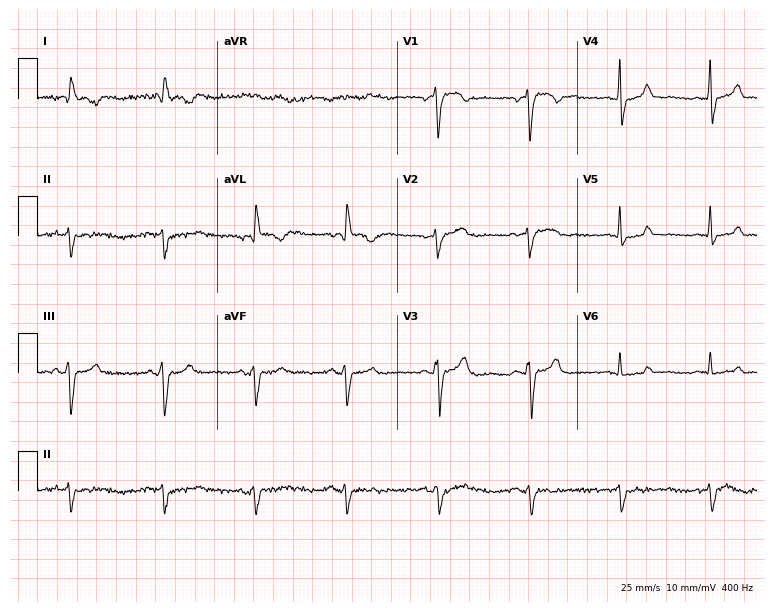
12-lead ECG (7.3-second recording at 400 Hz) from a female, 76 years old. Screened for six findings — first-degree AV block, right bundle branch block, left bundle branch block, sinus bradycardia, atrial fibrillation, sinus tachycardia — none is recorded.